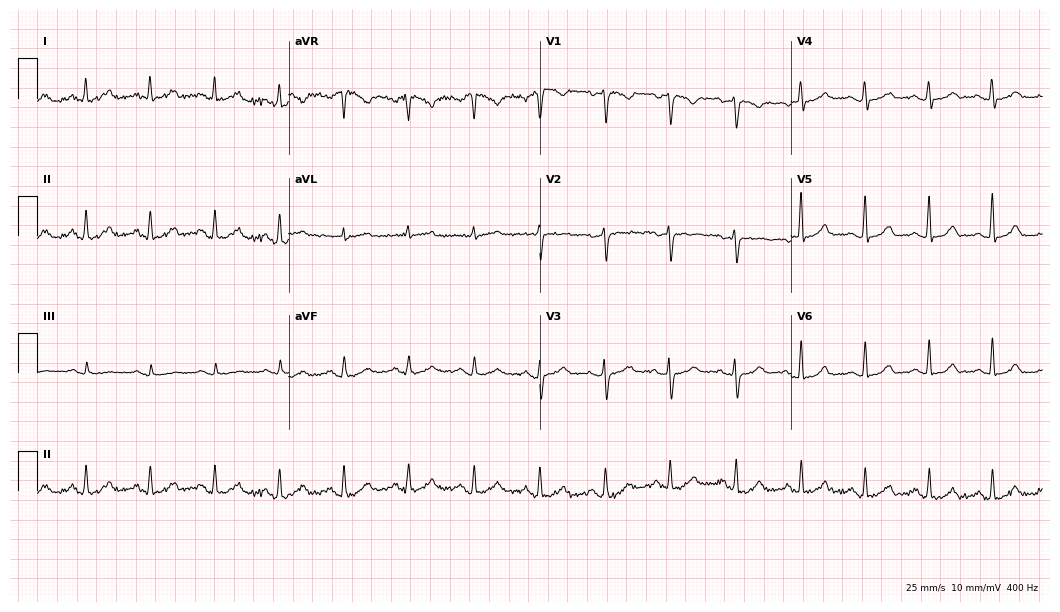
Resting 12-lead electrocardiogram (10.2-second recording at 400 Hz). Patient: a woman, 41 years old. Read as a normal ECG.